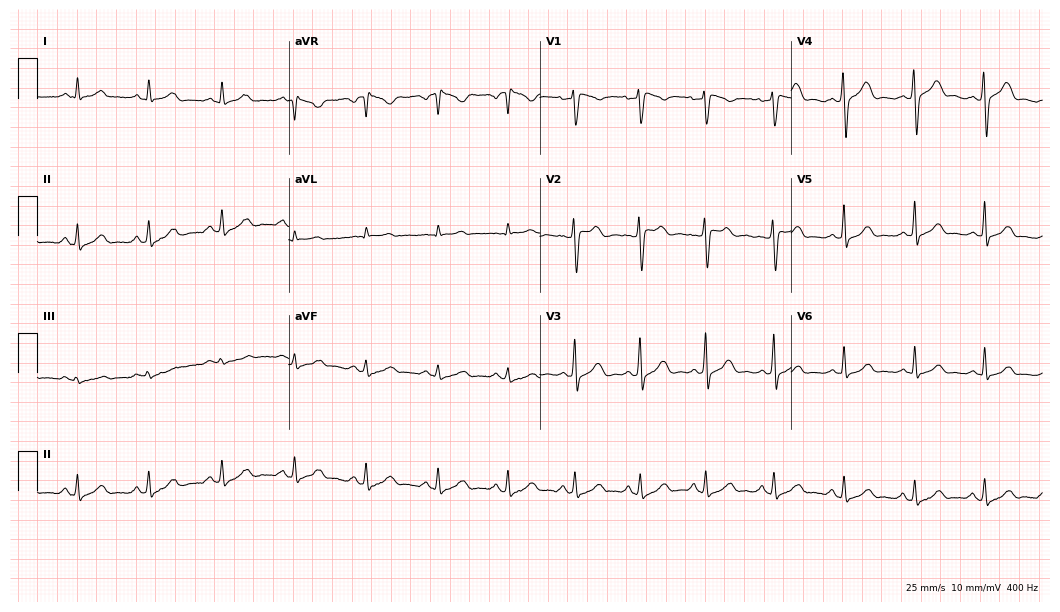
Standard 12-lead ECG recorded from a 32-year-old female patient (10.2-second recording at 400 Hz). None of these six findings is recorded: first-degree AV block, right bundle branch block (RBBB), left bundle branch block (LBBB), sinus bradycardia, atrial fibrillation (AF), sinus tachycardia. Only these six findings were labelled.